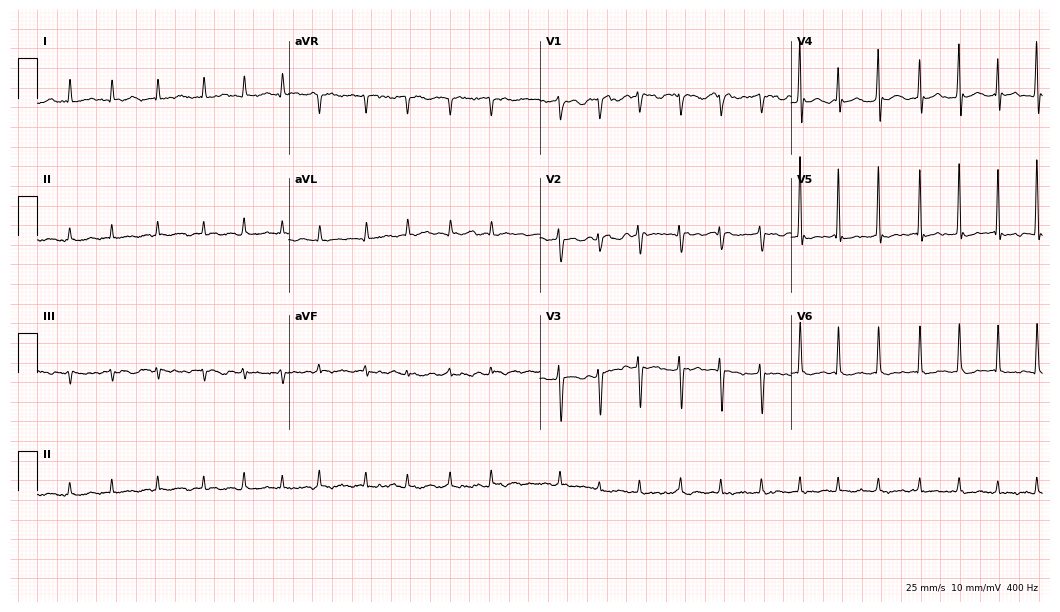
Resting 12-lead electrocardiogram (10.2-second recording at 400 Hz). Patient: a female, 69 years old. The tracing shows atrial fibrillation (AF), sinus tachycardia (a sinus rate of 100 beats per minute or more).